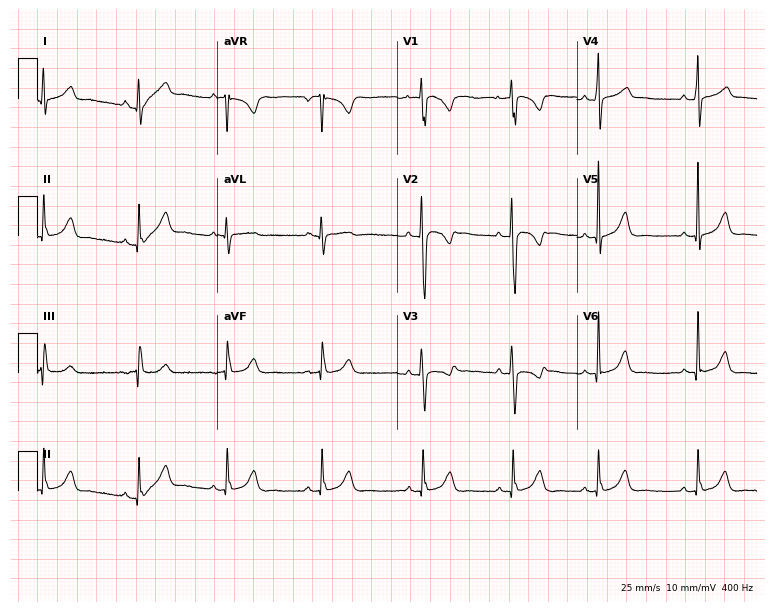
ECG — a 27-year-old woman. Screened for six findings — first-degree AV block, right bundle branch block (RBBB), left bundle branch block (LBBB), sinus bradycardia, atrial fibrillation (AF), sinus tachycardia — none is recorded. Findings outside these six are not listed.